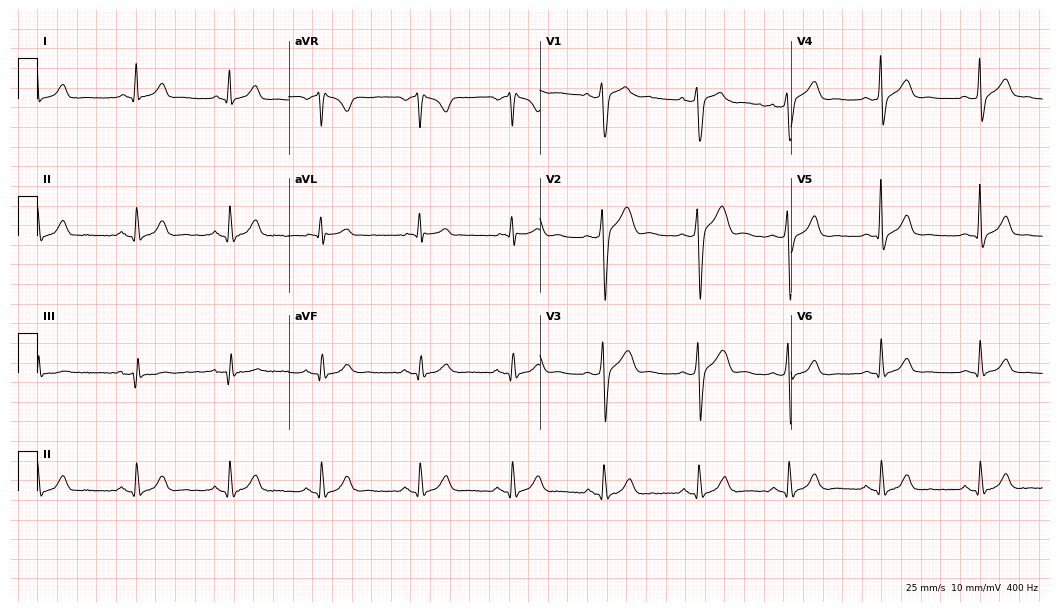
Standard 12-lead ECG recorded from a man, 34 years old. None of these six findings is recorded: first-degree AV block, right bundle branch block, left bundle branch block, sinus bradycardia, atrial fibrillation, sinus tachycardia. Only these six findings were labelled.